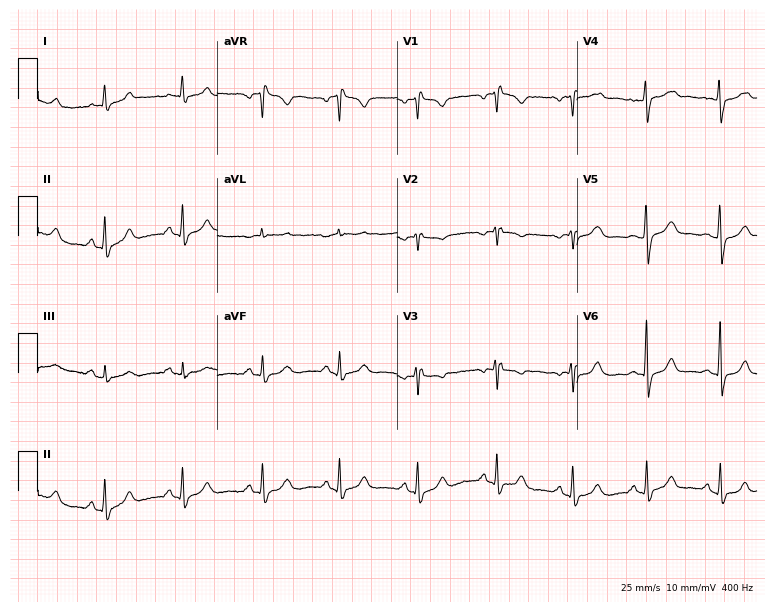
Resting 12-lead electrocardiogram (7.3-second recording at 400 Hz). Patient: a female, 45 years old. None of these six findings is recorded: first-degree AV block, right bundle branch block, left bundle branch block, sinus bradycardia, atrial fibrillation, sinus tachycardia. Findings outside these six are not listed.